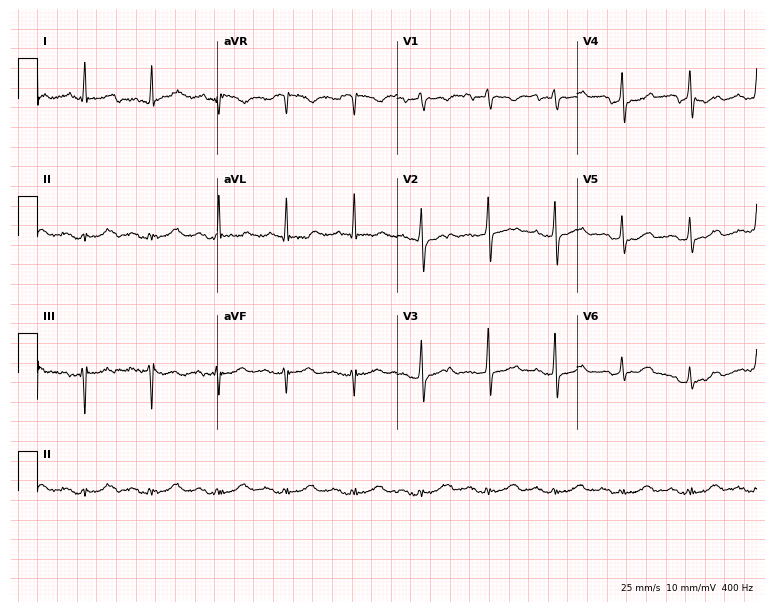
Resting 12-lead electrocardiogram (7.3-second recording at 400 Hz). Patient: a male, 84 years old. None of these six findings is recorded: first-degree AV block, right bundle branch block, left bundle branch block, sinus bradycardia, atrial fibrillation, sinus tachycardia. Other findings, if any, are not listed.